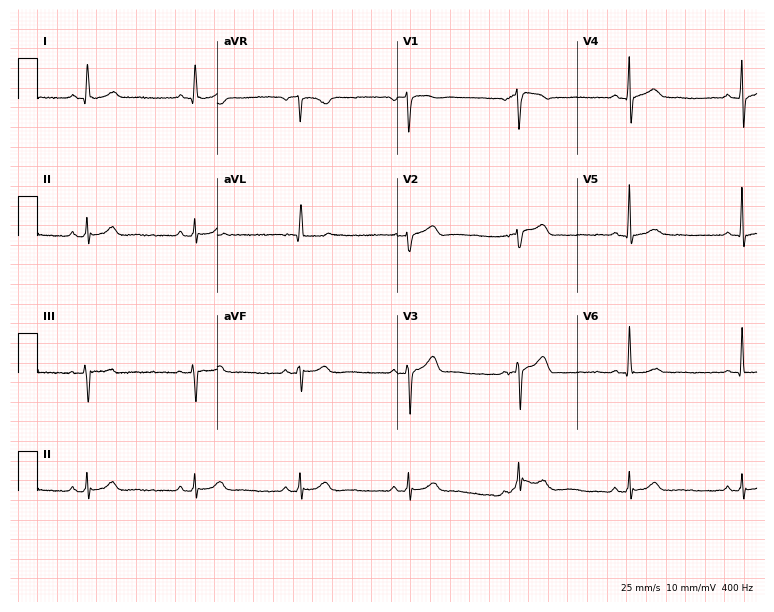
12-lead ECG (7.3-second recording at 400 Hz) from a 54-year-old male. Labelled as a normal ECG.